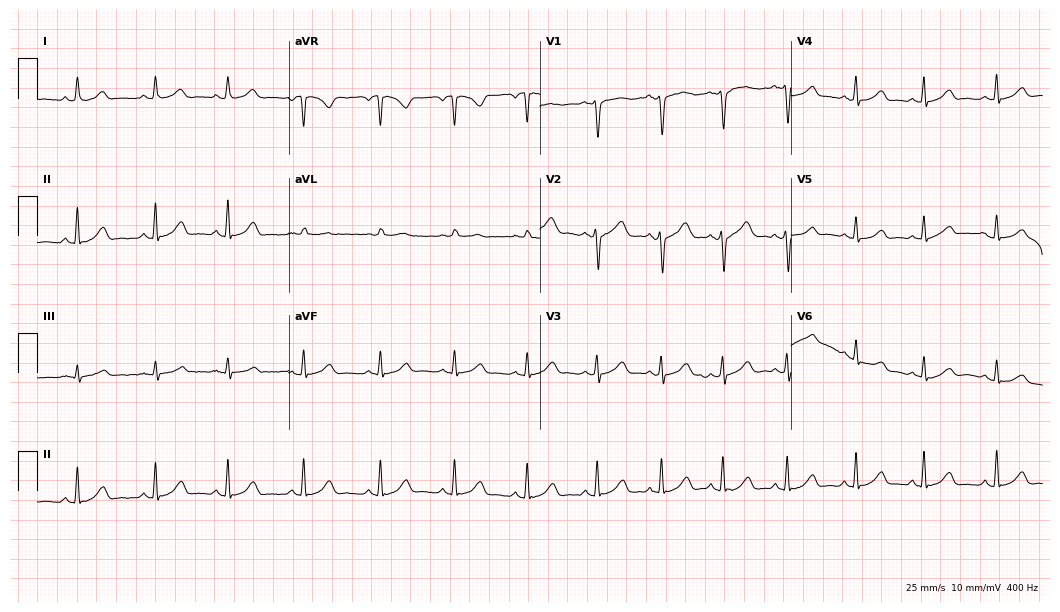
Standard 12-lead ECG recorded from a 30-year-old female patient. None of these six findings is recorded: first-degree AV block, right bundle branch block, left bundle branch block, sinus bradycardia, atrial fibrillation, sinus tachycardia.